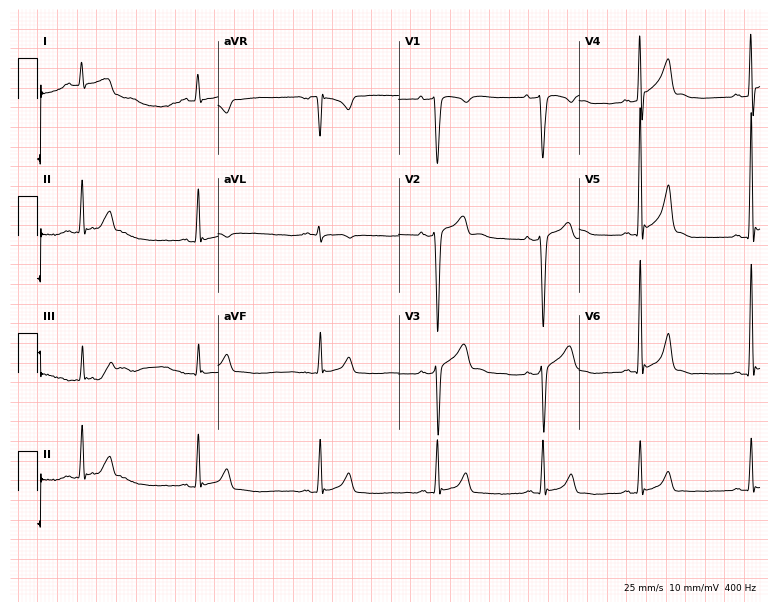
12-lead ECG from a male, 19 years old (7.4-second recording at 400 Hz). No first-degree AV block, right bundle branch block (RBBB), left bundle branch block (LBBB), sinus bradycardia, atrial fibrillation (AF) or sinus tachycardia recorded for this tracing.